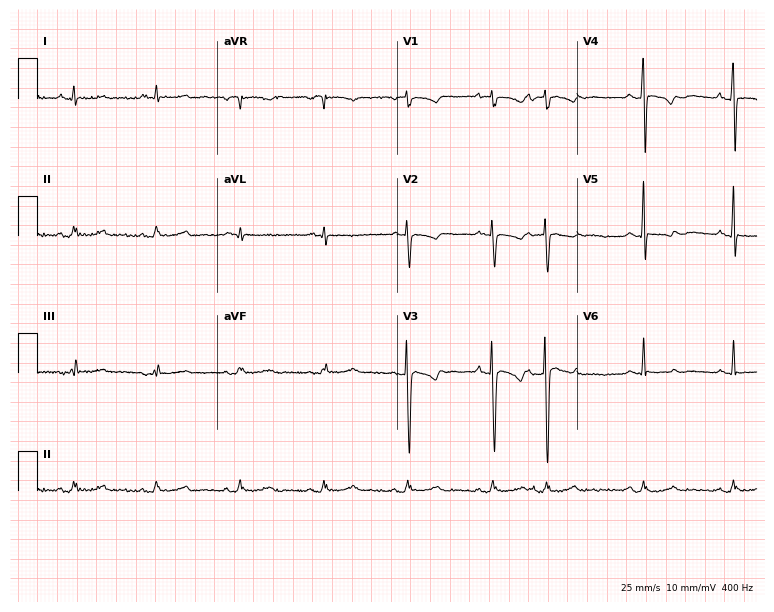
Standard 12-lead ECG recorded from a male patient, 80 years old (7.3-second recording at 400 Hz). None of these six findings is recorded: first-degree AV block, right bundle branch block, left bundle branch block, sinus bradycardia, atrial fibrillation, sinus tachycardia.